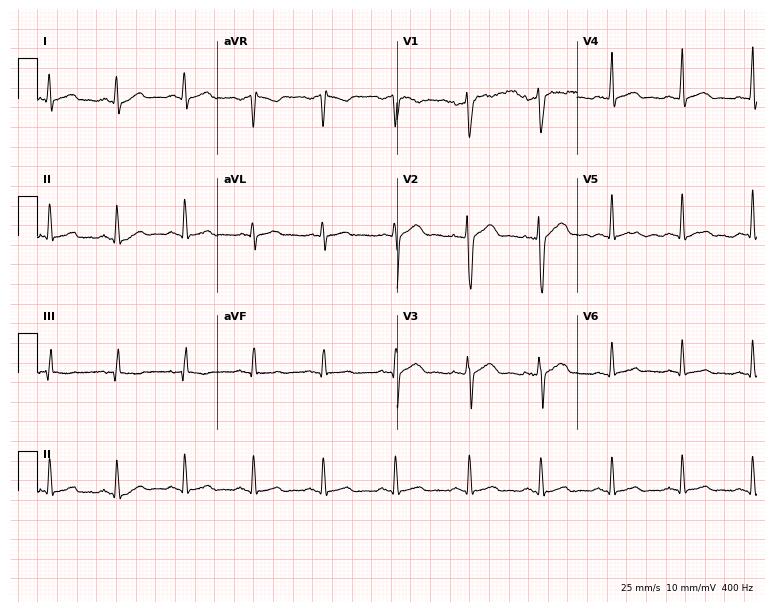
ECG — a 39-year-old man. Labelled as a normal ECG.